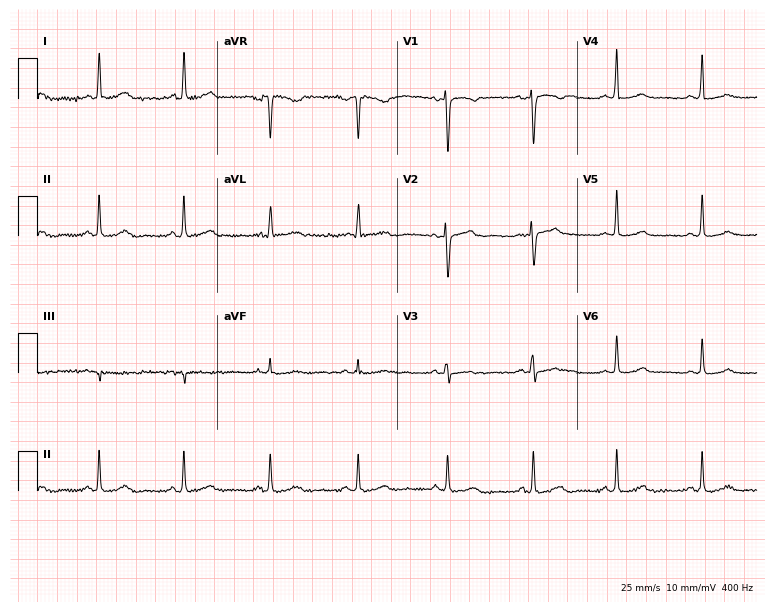
12-lead ECG from a 62-year-old female patient (7.3-second recording at 400 Hz). Recorded interpretation: within normal limits.